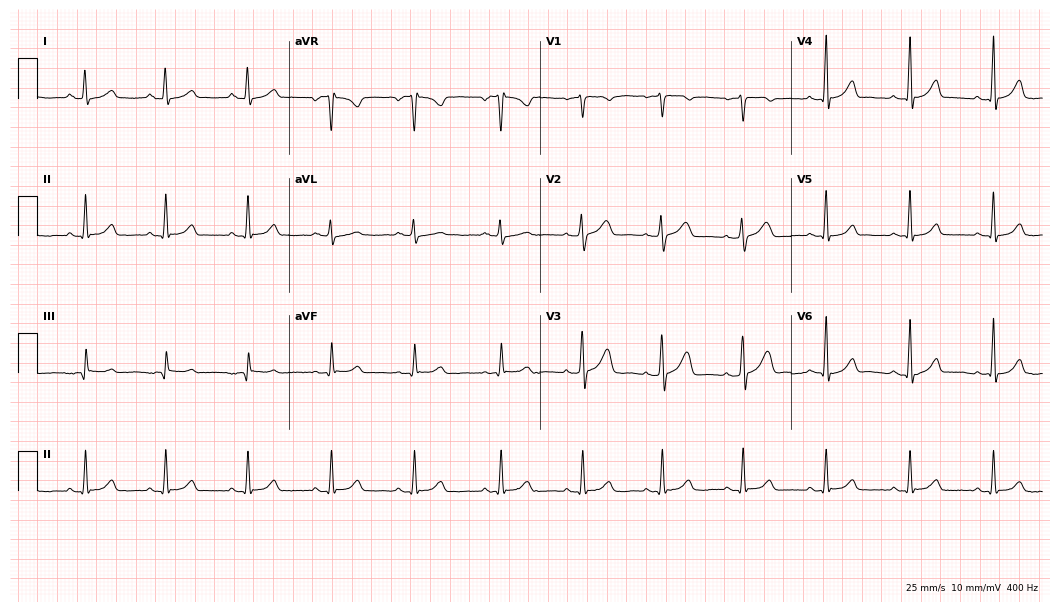
Resting 12-lead electrocardiogram (10.2-second recording at 400 Hz). Patient: a female, 37 years old. Read as a normal ECG.